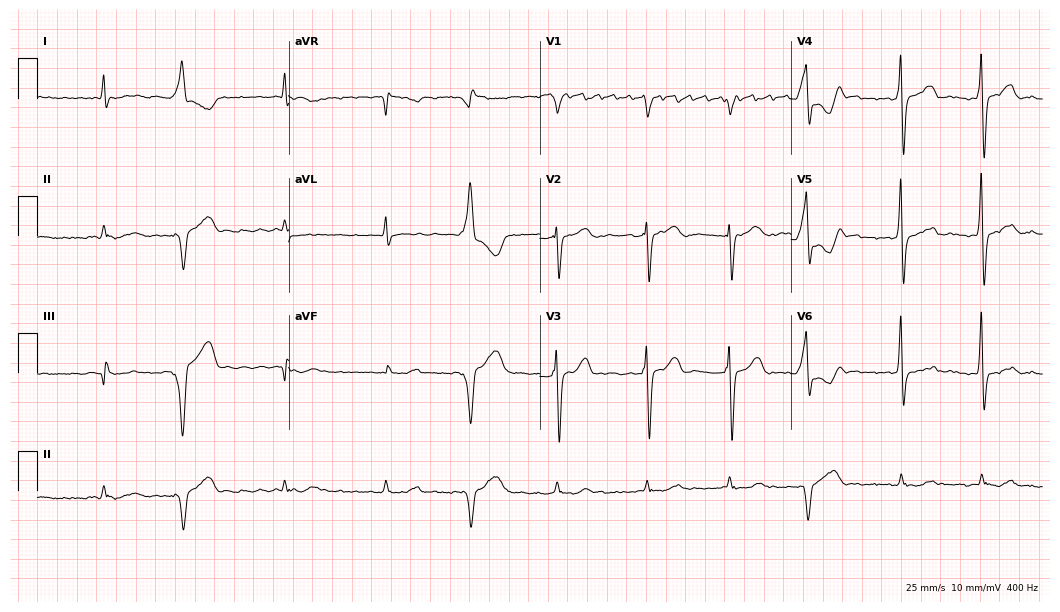
Resting 12-lead electrocardiogram (10.2-second recording at 400 Hz). Patient: a 75-year-old man. The tracing shows atrial fibrillation.